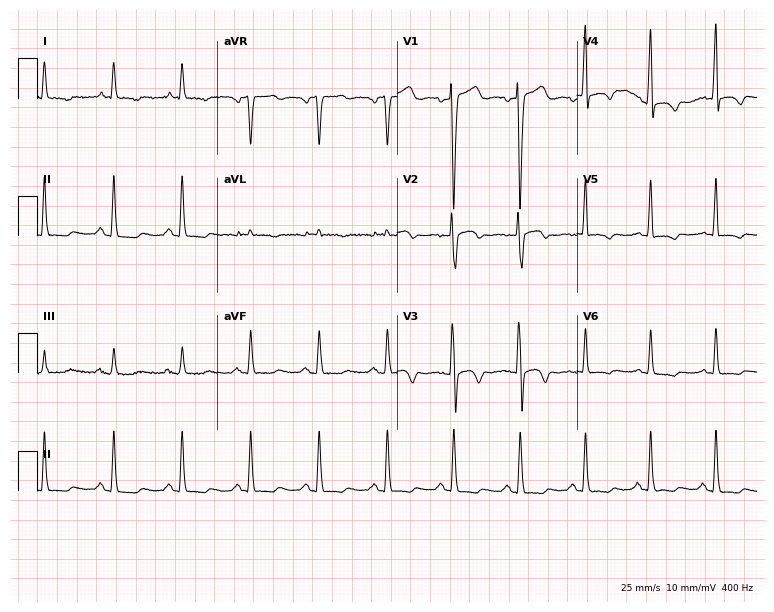
12-lead ECG from a male, 69 years old (7.3-second recording at 400 Hz). No first-degree AV block, right bundle branch block, left bundle branch block, sinus bradycardia, atrial fibrillation or sinus tachycardia recorded for this tracing. Other findings, if any, are not listed.